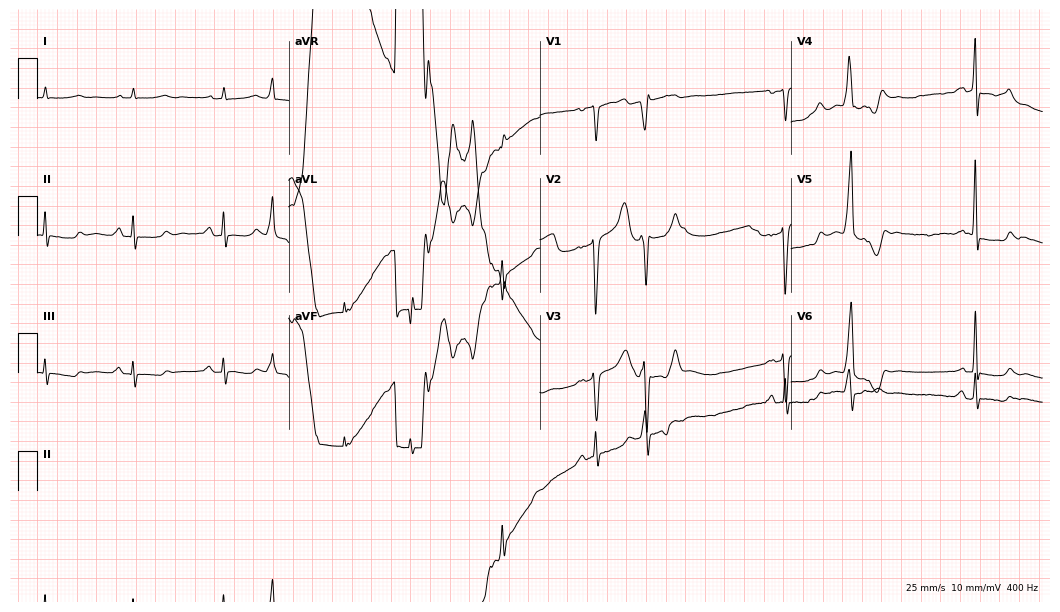
12-lead ECG from a 77-year-old male. No first-degree AV block, right bundle branch block, left bundle branch block, sinus bradycardia, atrial fibrillation or sinus tachycardia recorded for this tracing. Only these six findings were labelled.